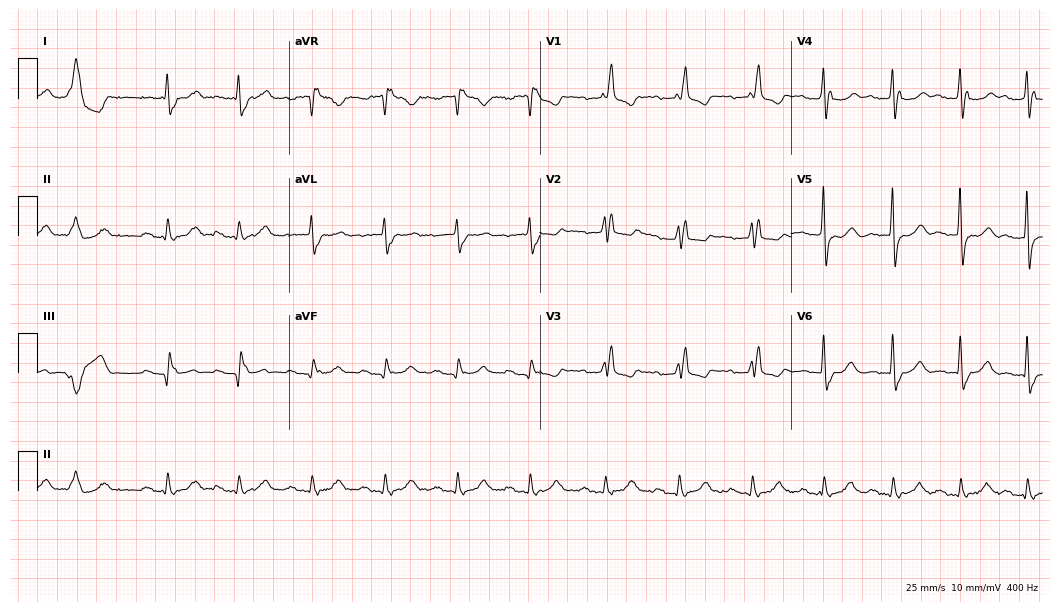
12-lead ECG from a man, 82 years old. Shows first-degree AV block, right bundle branch block.